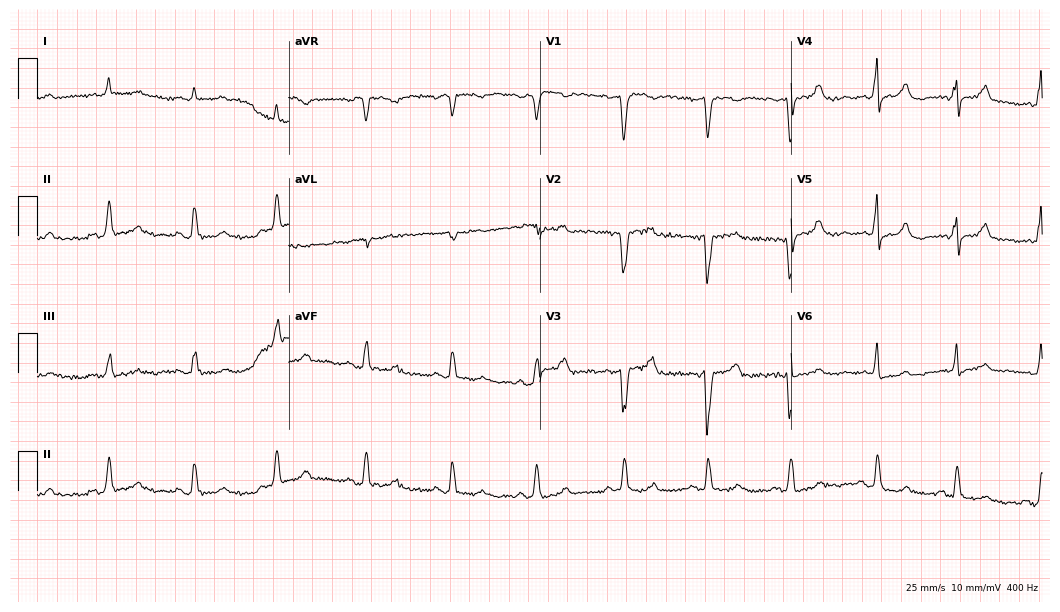
Resting 12-lead electrocardiogram (10.2-second recording at 400 Hz). Patient: a male, 71 years old. None of these six findings is recorded: first-degree AV block, right bundle branch block, left bundle branch block, sinus bradycardia, atrial fibrillation, sinus tachycardia. Findings outside these six are not listed.